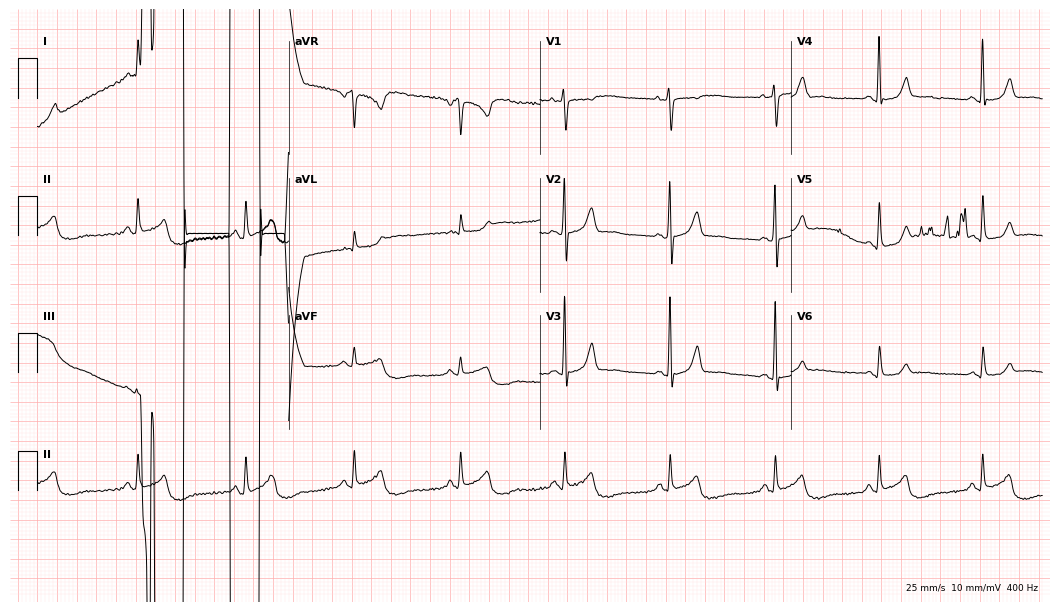
12-lead ECG from a female patient, 78 years old. Screened for six findings — first-degree AV block, right bundle branch block, left bundle branch block, sinus bradycardia, atrial fibrillation, sinus tachycardia — none is recorded. Other findings, if any, are not listed.